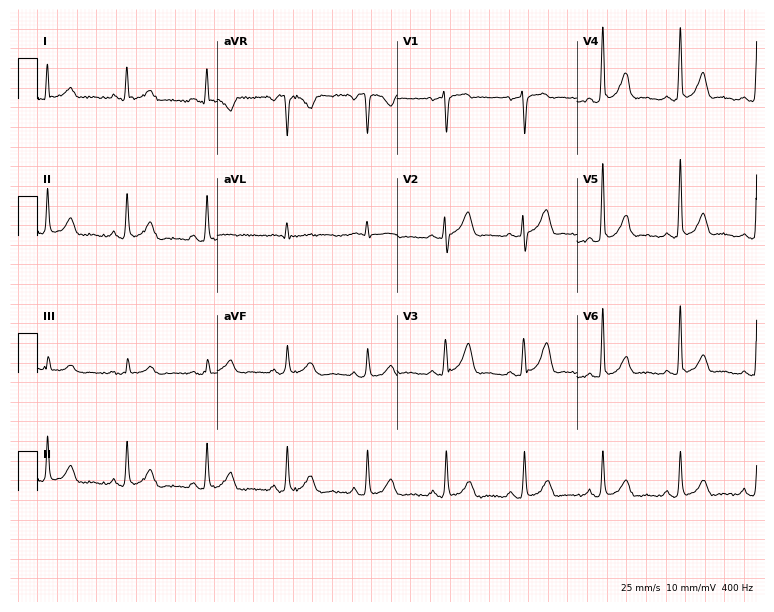
Resting 12-lead electrocardiogram. Patient: a male, 69 years old. None of these six findings is recorded: first-degree AV block, right bundle branch block, left bundle branch block, sinus bradycardia, atrial fibrillation, sinus tachycardia.